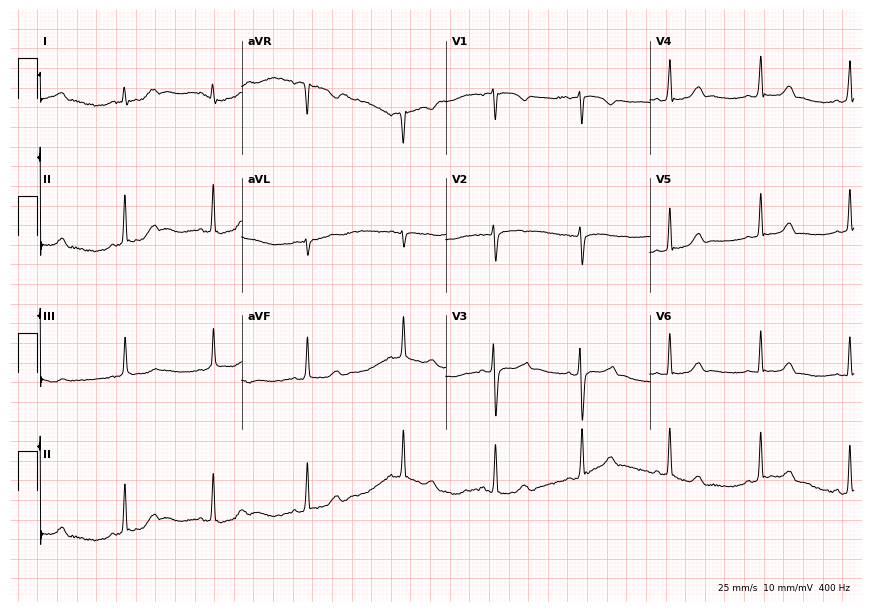
Resting 12-lead electrocardiogram (8.3-second recording at 400 Hz). Patient: a female, 20 years old. None of these six findings is recorded: first-degree AV block, right bundle branch block (RBBB), left bundle branch block (LBBB), sinus bradycardia, atrial fibrillation (AF), sinus tachycardia.